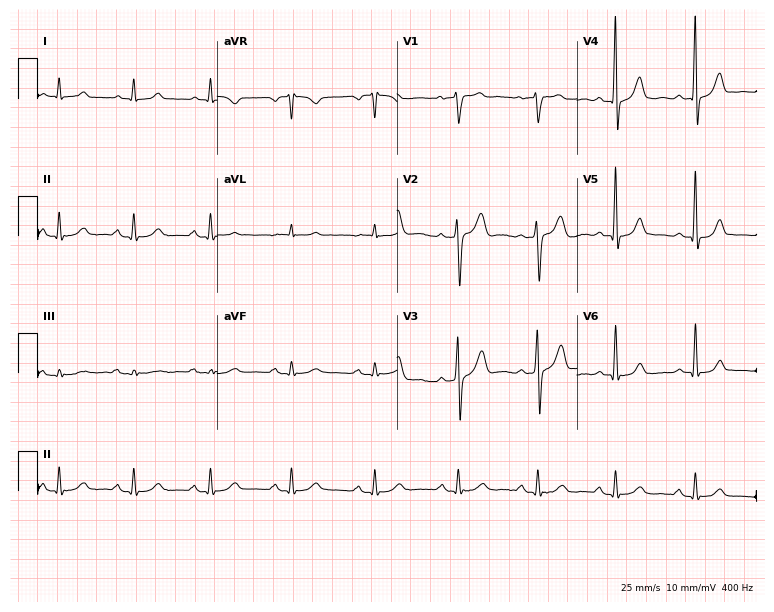
ECG (7.3-second recording at 400 Hz) — a 54-year-old man. Screened for six findings — first-degree AV block, right bundle branch block (RBBB), left bundle branch block (LBBB), sinus bradycardia, atrial fibrillation (AF), sinus tachycardia — none is recorded.